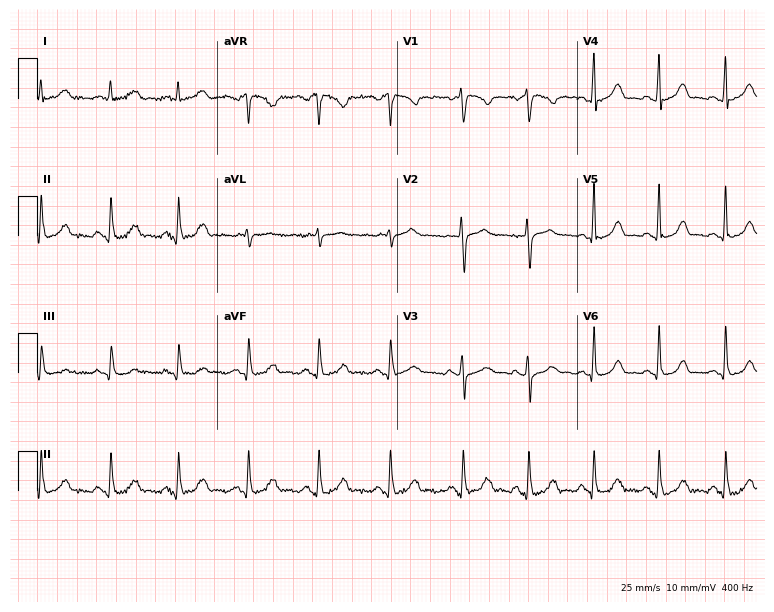
12-lead ECG (7.3-second recording at 400 Hz) from a 37-year-old woman. Screened for six findings — first-degree AV block, right bundle branch block, left bundle branch block, sinus bradycardia, atrial fibrillation, sinus tachycardia — none is recorded. Findings outside these six are not listed.